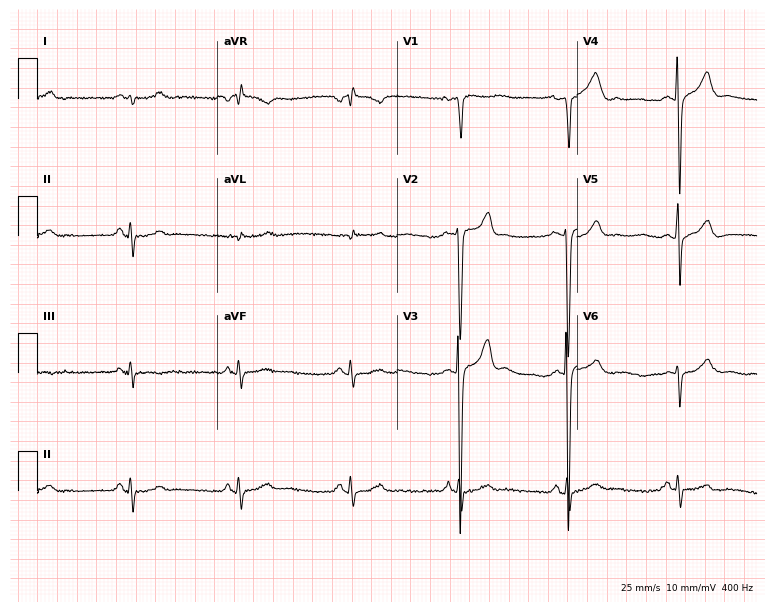
Resting 12-lead electrocardiogram (7.3-second recording at 400 Hz). Patient: a 55-year-old male. None of these six findings is recorded: first-degree AV block, right bundle branch block, left bundle branch block, sinus bradycardia, atrial fibrillation, sinus tachycardia. Other findings, if any, are not listed.